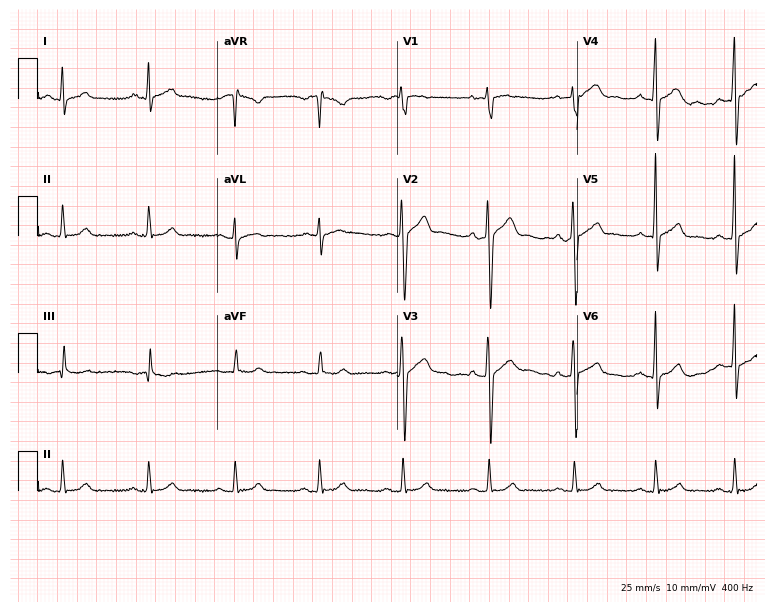
Standard 12-lead ECG recorded from a male patient, 34 years old. Read as a normal ECG.